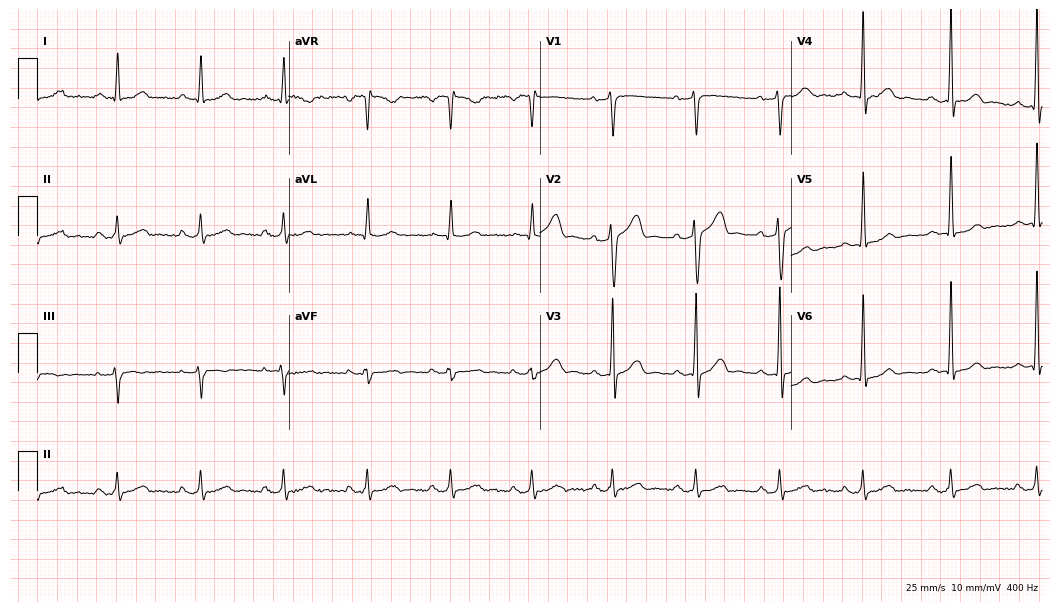
Standard 12-lead ECG recorded from a male, 49 years old. Read as a normal ECG.